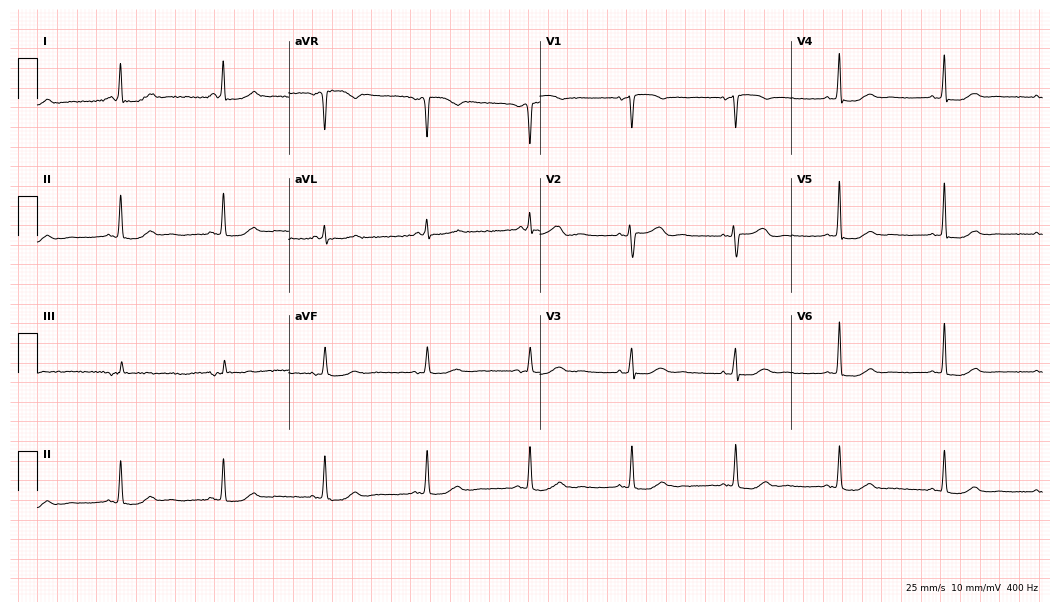
Electrocardiogram (10.2-second recording at 400 Hz), a 62-year-old female patient. Of the six screened findings (first-degree AV block, right bundle branch block, left bundle branch block, sinus bradycardia, atrial fibrillation, sinus tachycardia), none is recorded. Other findings, if any, are not listed.